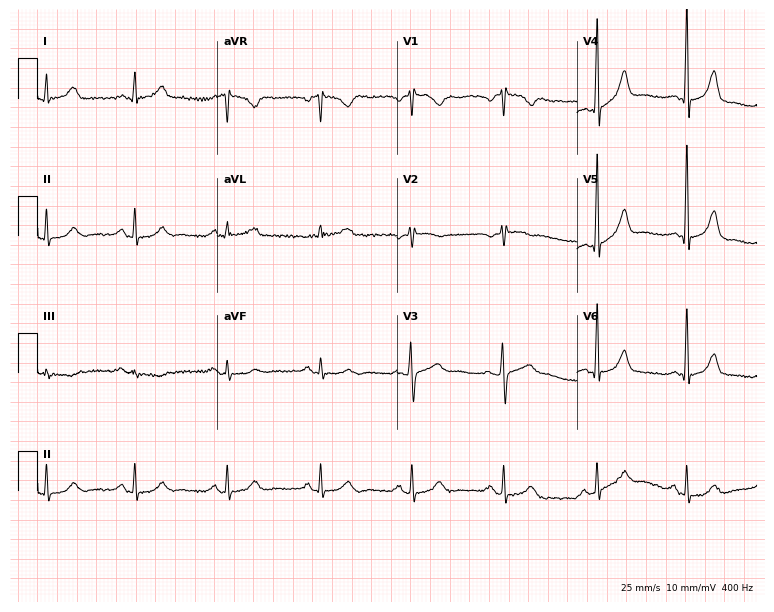
ECG — a 48-year-old female. Screened for six findings — first-degree AV block, right bundle branch block, left bundle branch block, sinus bradycardia, atrial fibrillation, sinus tachycardia — none is recorded.